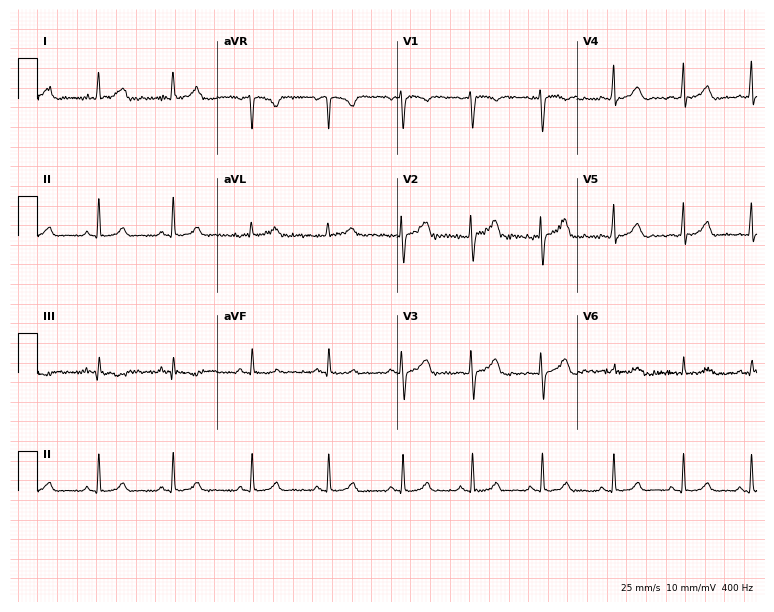
12-lead ECG from a female patient, 28 years old. Labelled as a normal ECG.